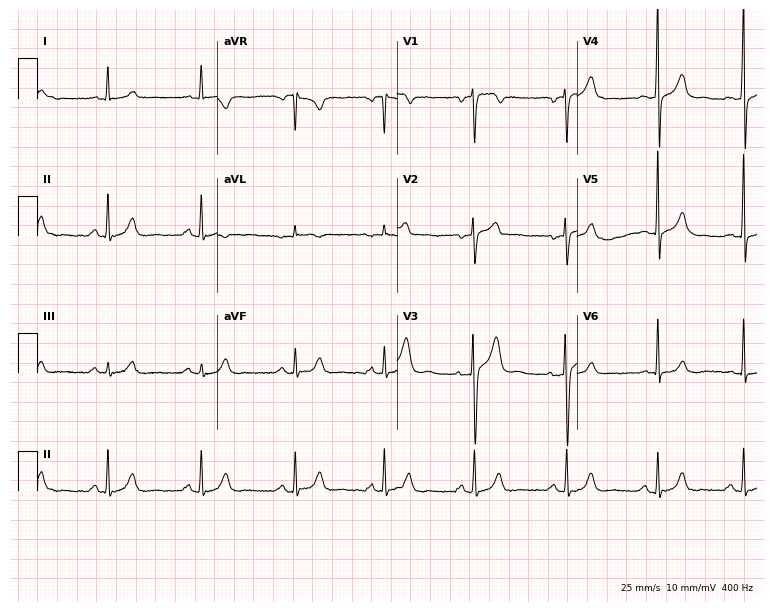
Electrocardiogram, a male patient, 43 years old. Overall reading on record: normal ECG.